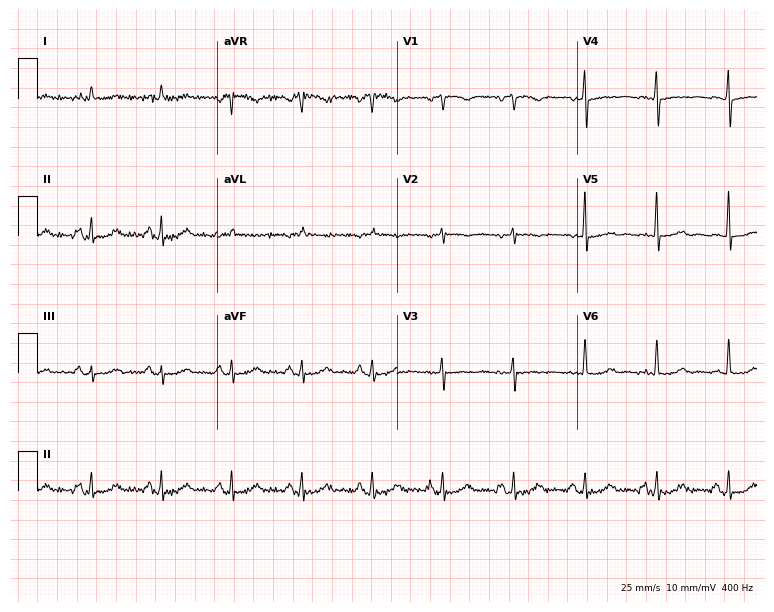
12-lead ECG (7.3-second recording at 400 Hz) from a male, 71 years old. Labelled as a normal ECG.